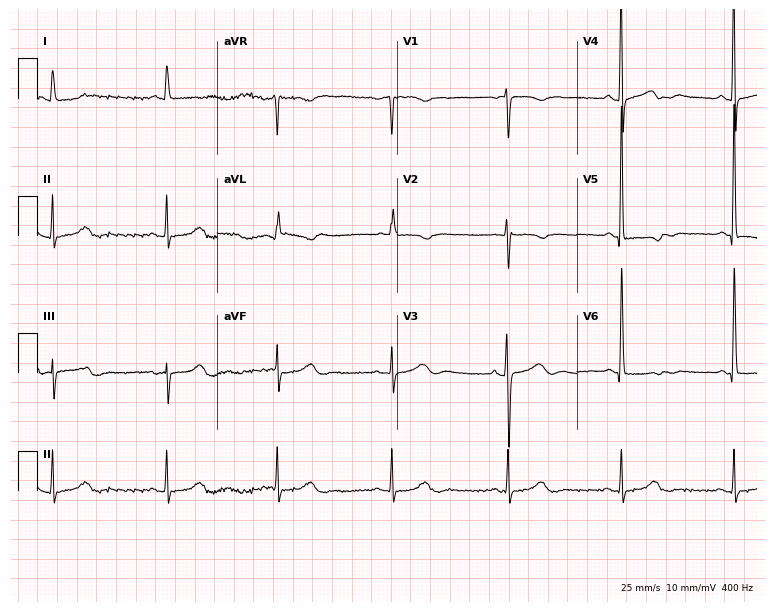
ECG (7.3-second recording at 400 Hz) — a 77-year-old female patient. Screened for six findings — first-degree AV block, right bundle branch block (RBBB), left bundle branch block (LBBB), sinus bradycardia, atrial fibrillation (AF), sinus tachycardia — none is recorded.